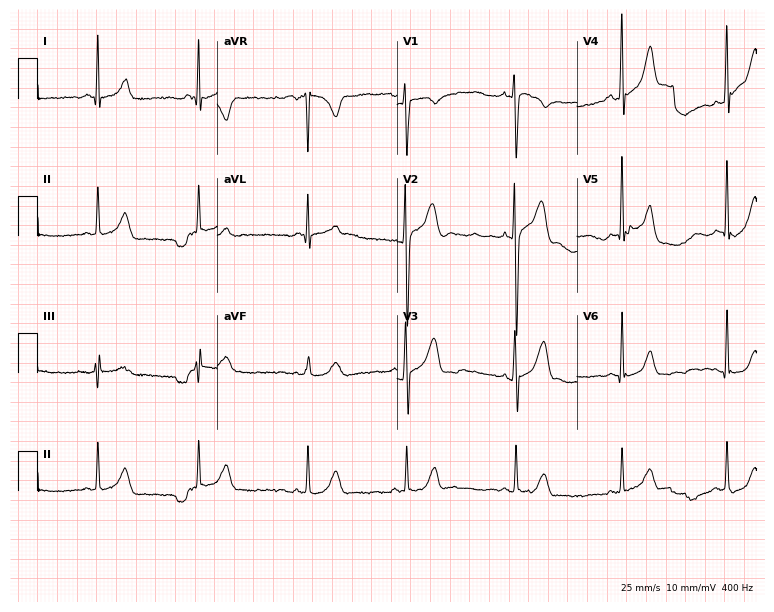
12-lead ECG from an 18-year-old male. No first-degree AV block, right bundle branch block, left bundle branch block, sinus bradycardia, atrial fibrillation or sinus tachycardia recorded for this tracing. Only these six findings were labelled.